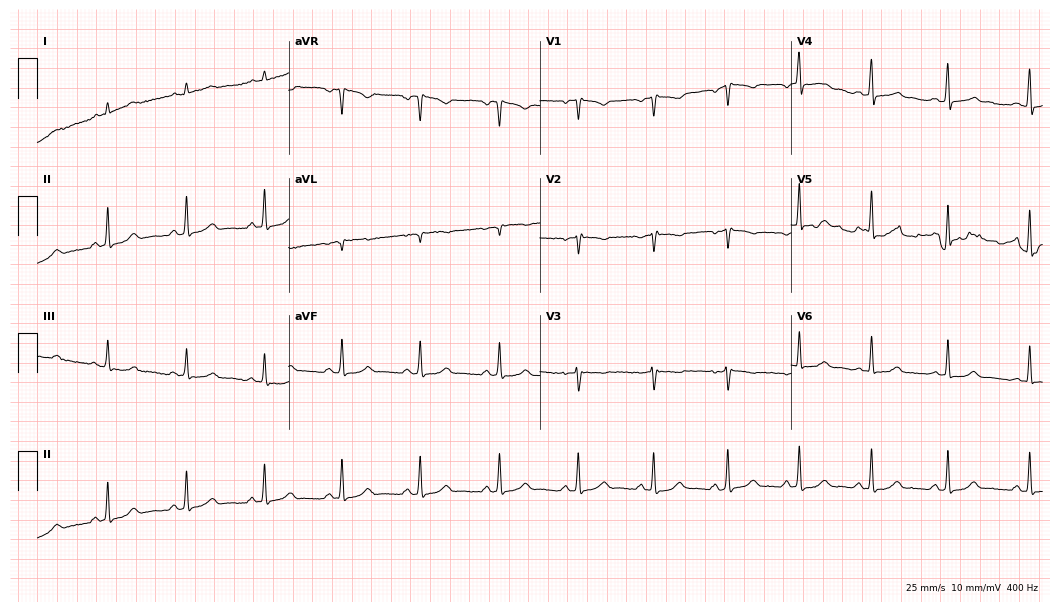
12-lead ECG from a female, 28 years old. No first-degree AV block, right bundle branch block (RBBB), left bundle branch block (LBBB), sinus bradycardia, atrial fibrillation (AF) or sinus tachycardia recorded for this tracing. Other findings, if any, are not listed.